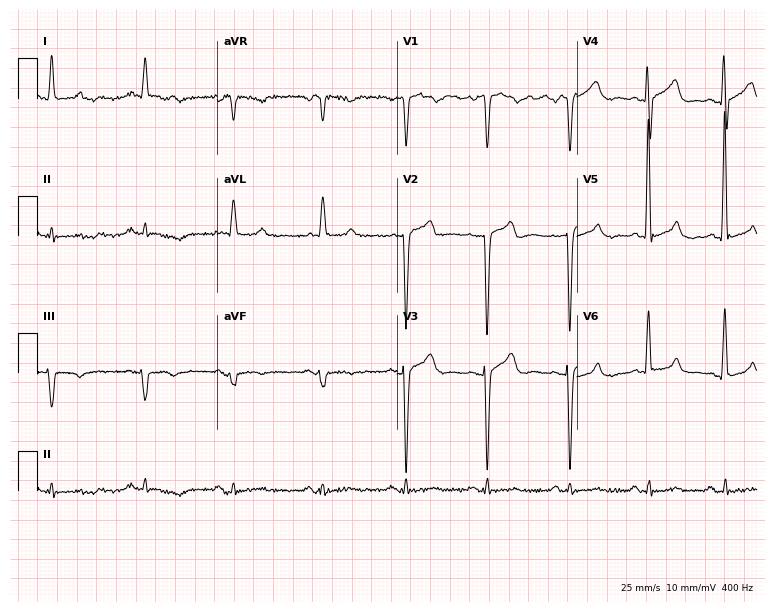
12-lead ECG (7.3-second recording at 400 Hz) from a 64-year-old woman. Screened for six findings — first-degree AV block, right bundle branch block, left bundle branch block, sinus bradycardia, atrial fibrillation, sinus tachycardia — none is recorded. Findings outside these six are not listed.